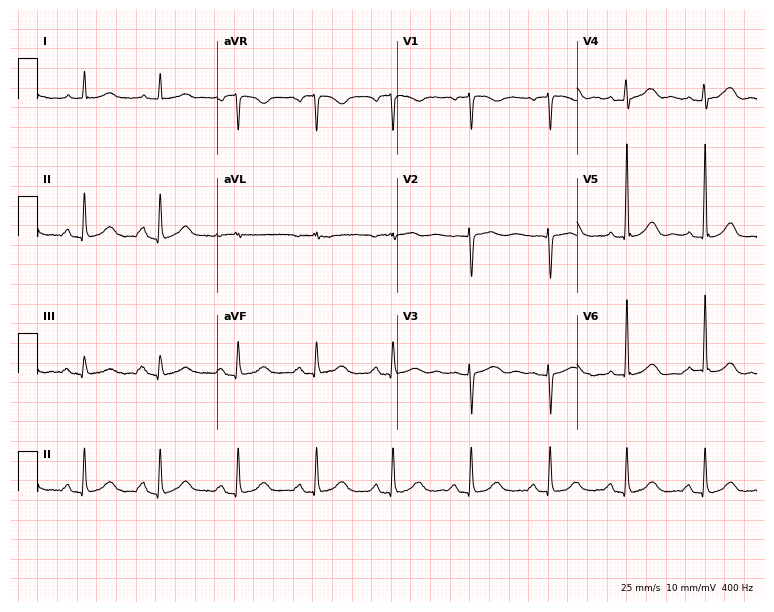
Electrocardiogram, a female, 75 years old. Of the six screened findings (first-degree AV block, right bundle branch block, left bundle branch block, sinus bradycardia, atrial fibrillation, sinus tachycardia), none is recorded.